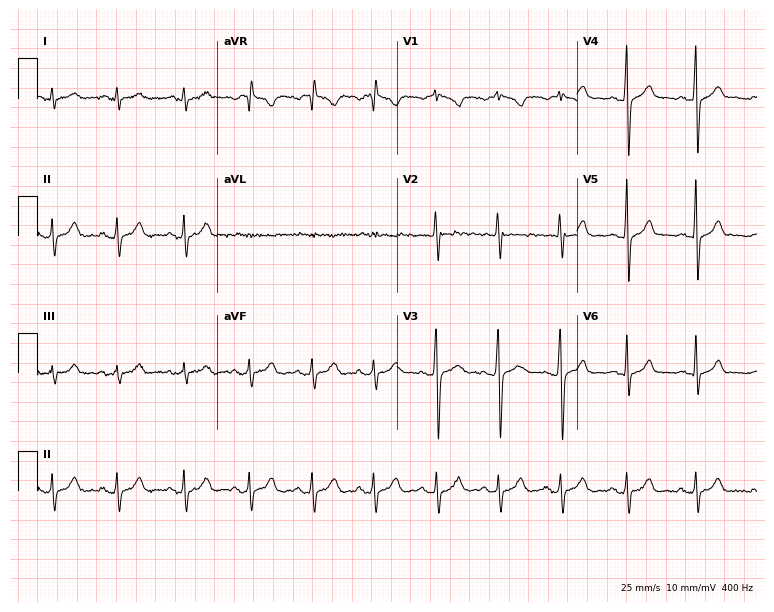
12-lead ECG from a 17-year-old man (7.3-second recording at 400 Hz). Recorded interpretation: within normal limits.